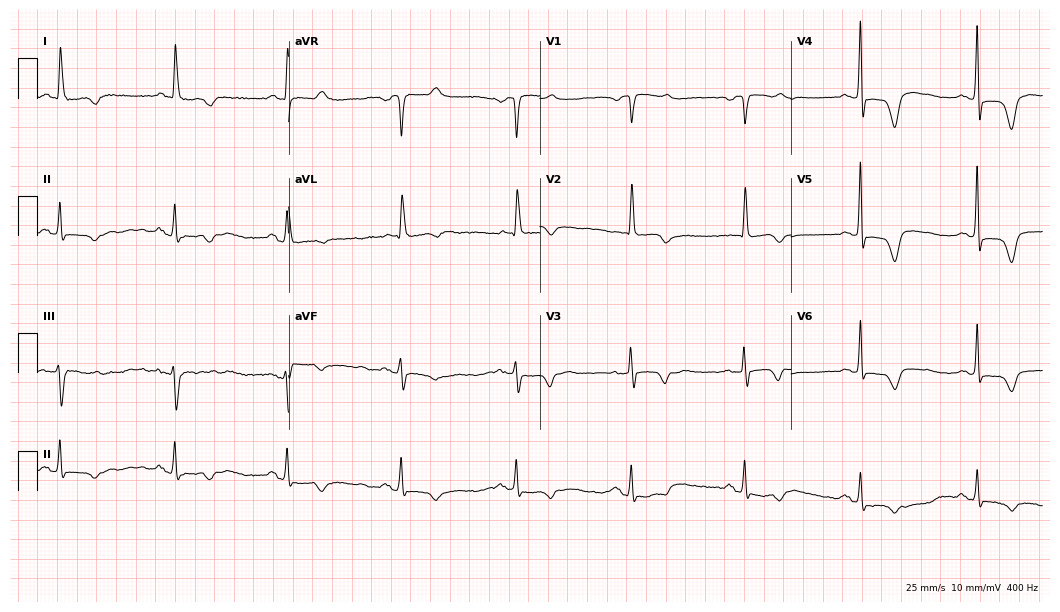
12-lead ECG (10.2-second recording at 400 Hz) from a woman, 85 years old. Screened for six findings — first-degree AV block, right bundle branch block, left bundle branch block, sinus bradycardia, atrial fibrillation, sinus tachycardia — none is recorded. Findings outside these six are not listed.